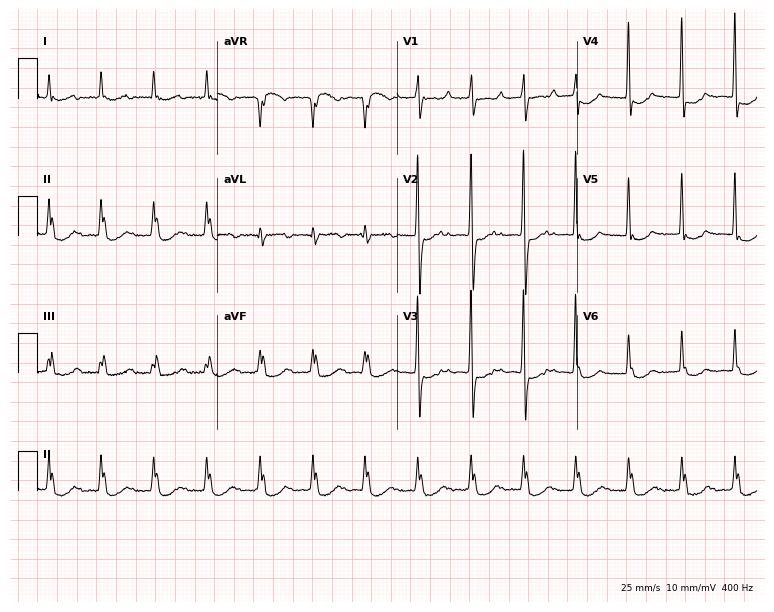
12-lead ECG from an 84-year-old female. Screened for six findings — first-degree AV block, right bundle branch block, left bundle branch block, sinus bradycardia, atrial fibrillation, sinus tachycardia — none is recorded. Findings outside these six are not listed.